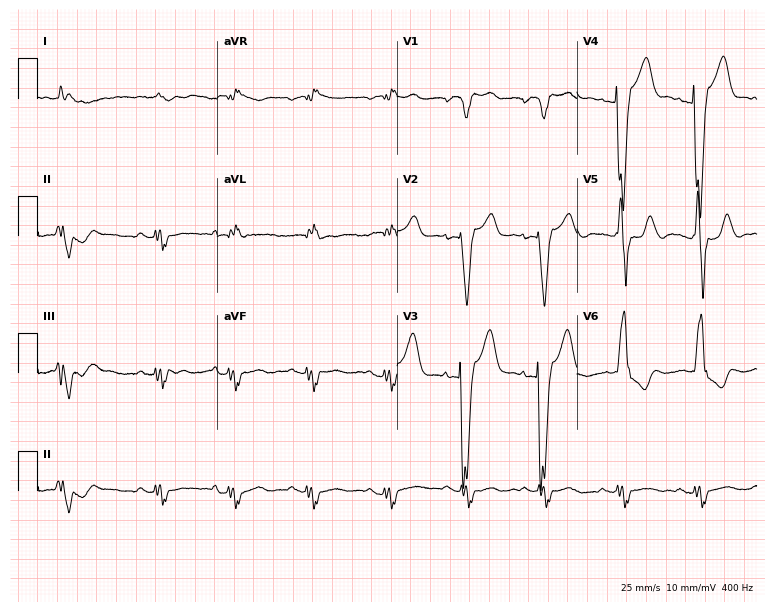
Standard 12-lead ECG recorded from a 79-year-old female (7.3-second recording at 400 Hz). The tracing shows left bundle branch block.